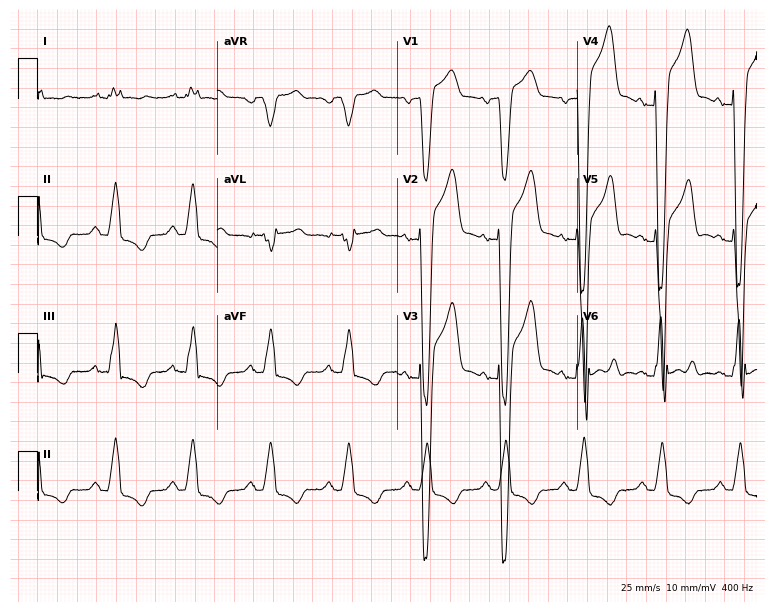
Standard 12-lead ECG recorded from a man, 81 years old. The tracing shows left bundle branch block.